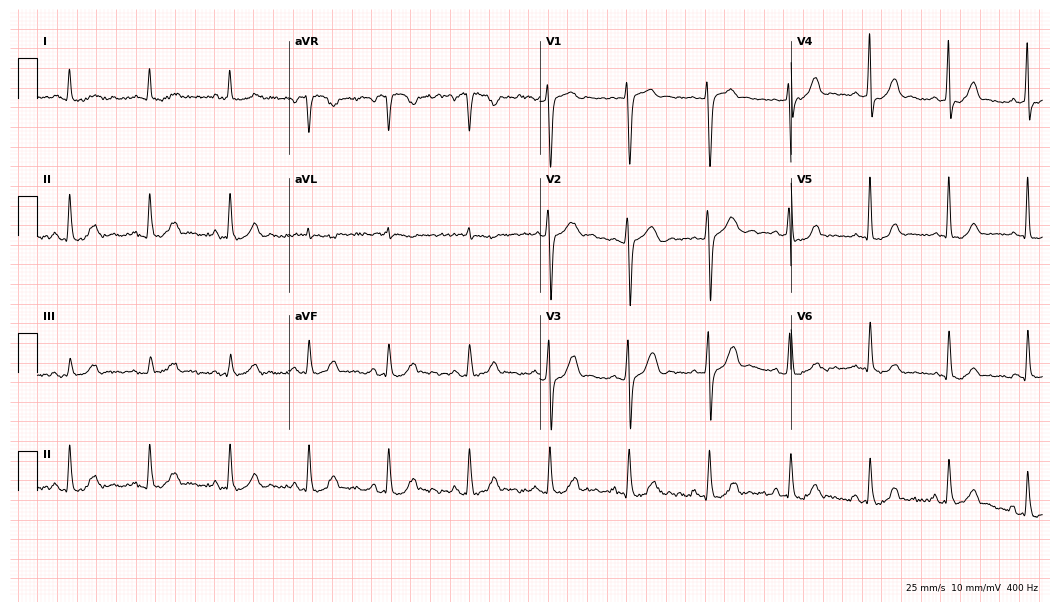
ECG — a male patient, 59 years old. Labelled as a normal ECG.